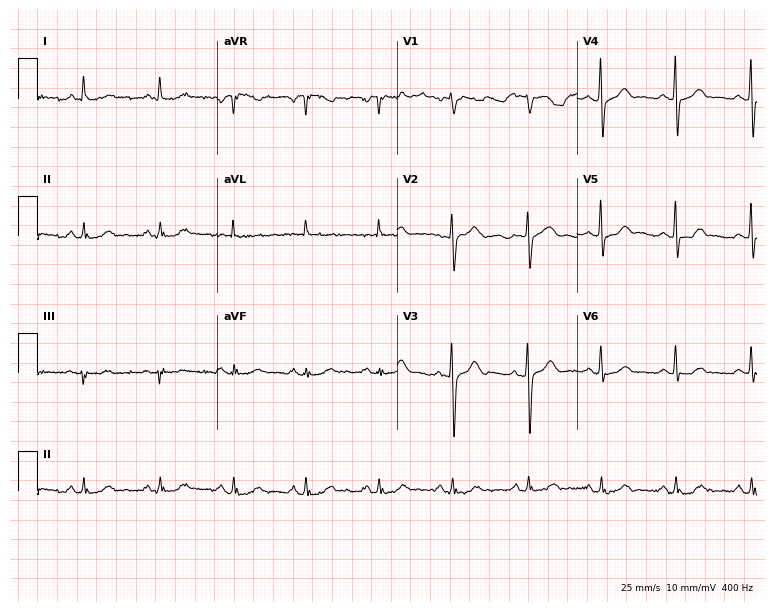
ECG (7.3-second recording at 400 Hz) — a female patient, 60 years old. Screened for six findings — first-degree AV block, right bundle branch block, left bundle branch block, sinus bradycardia, atrial fibrillation, sinus tachycardia — none is recorded.